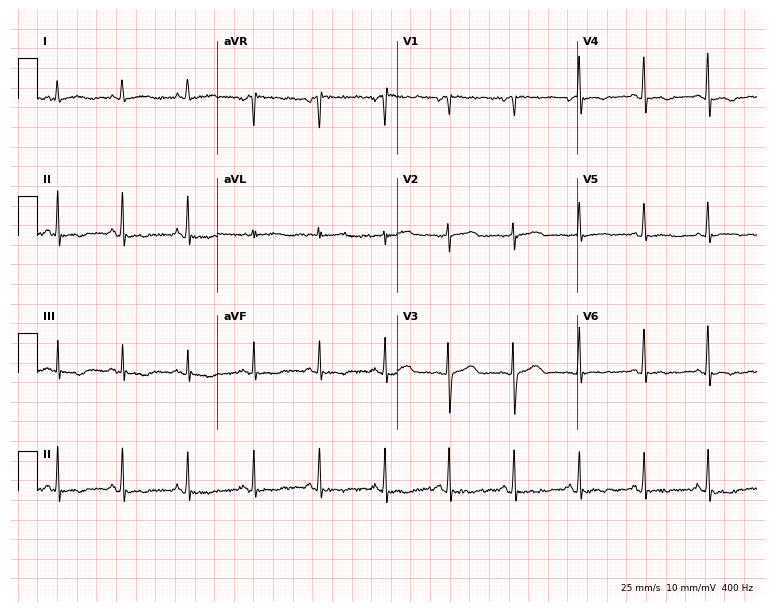
ECG — a 69-year-old female patient. Screened for six findings — first-degree AV block, right bundle branch block, left bundle branch block, sinus bradycardia, atrial fibrillation, sinus tachycardia — none is recorded. Findings outside these six are not listed.